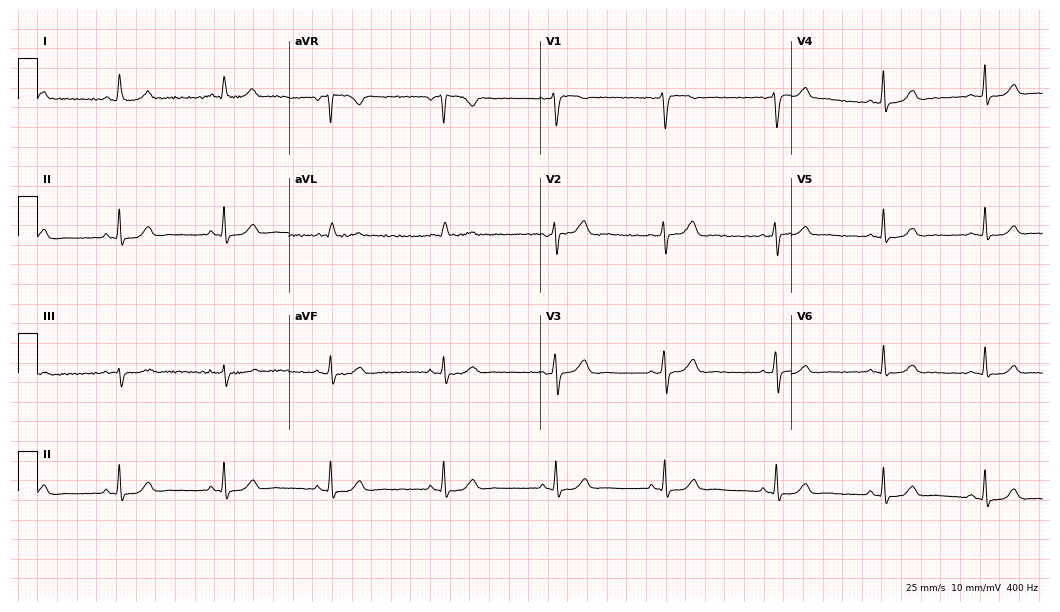
Resting 12-lead electrocardiogram. Patient: a female, 42 years old. Read as a normal ECG.